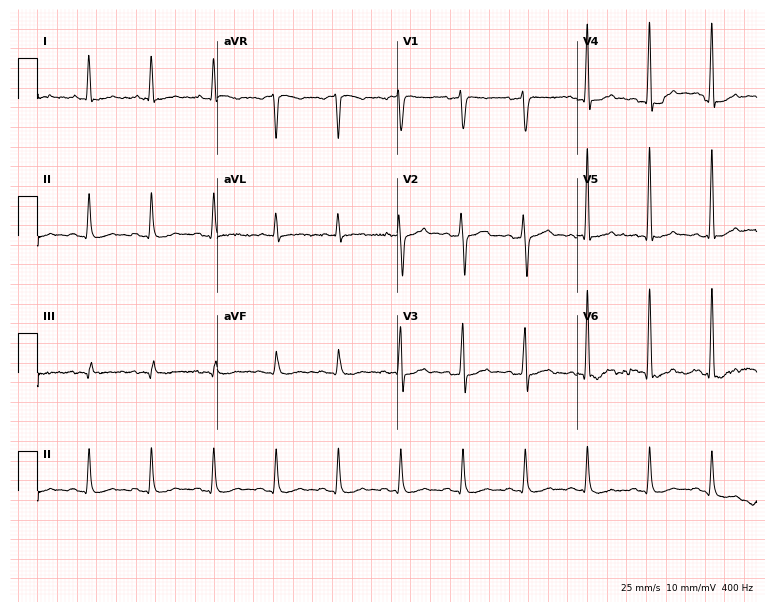
Standard 12-lead ECG recorded from a 45-year-old man (7.3-second recording at 400 Hz). Read as a normal ECG.